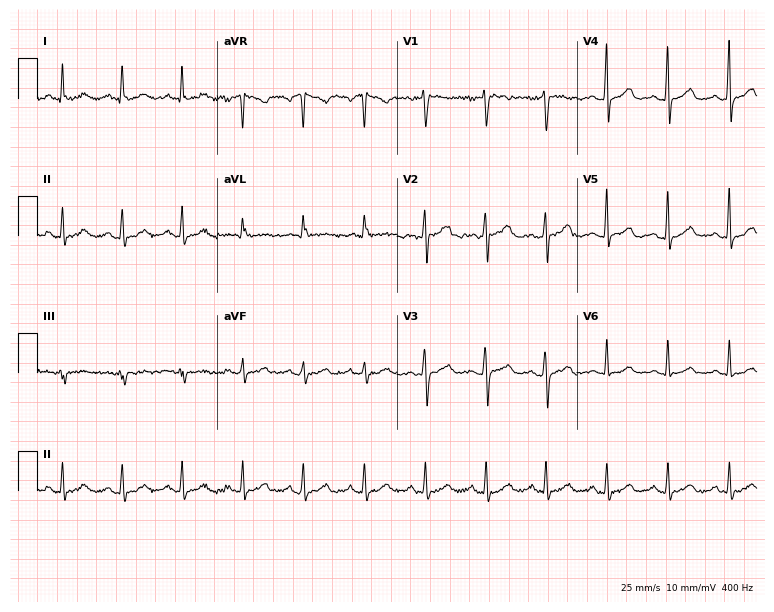
Resting 12-lead electrocardiogram. Patient: a 47-year-old woman. Read as a normal ECG.